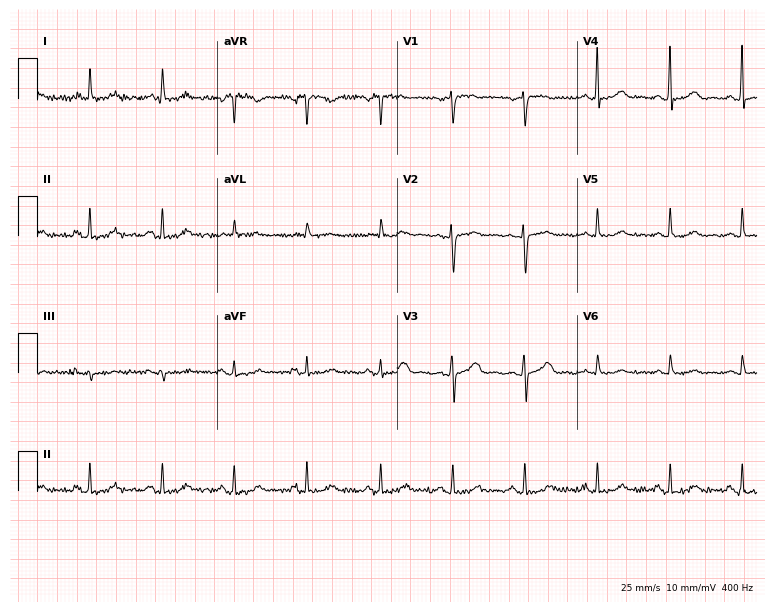
Resting 12-lead electrocardiogram (7.3-second recording at 400 Hz). Patient: a female, 76 years old. Read as a normal ECG.